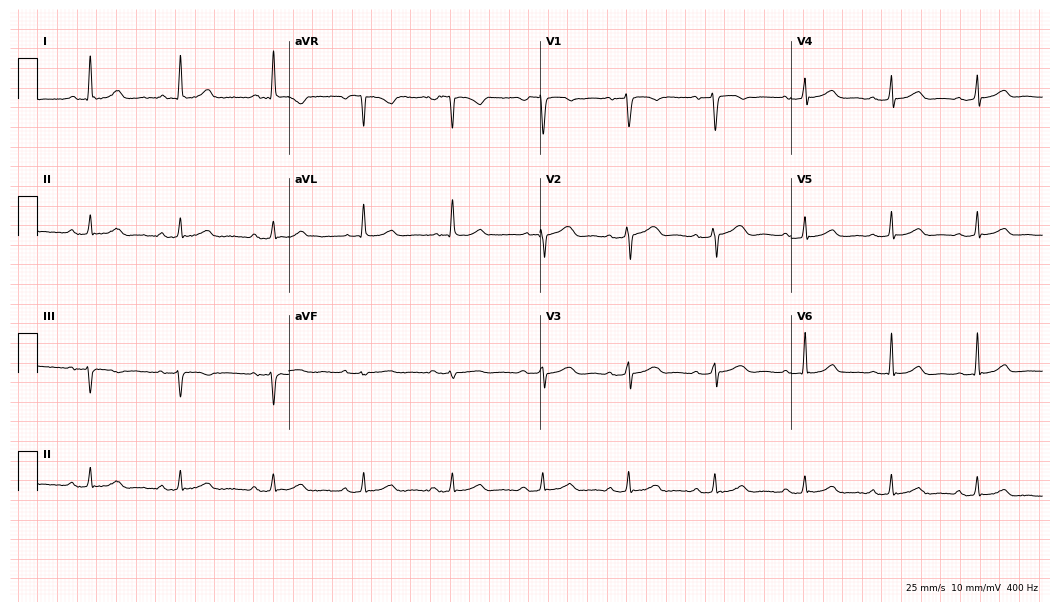
ECG (10.2-second recording at 400 Hz) — a female, 49 years old. Labelled as a normal ECG.